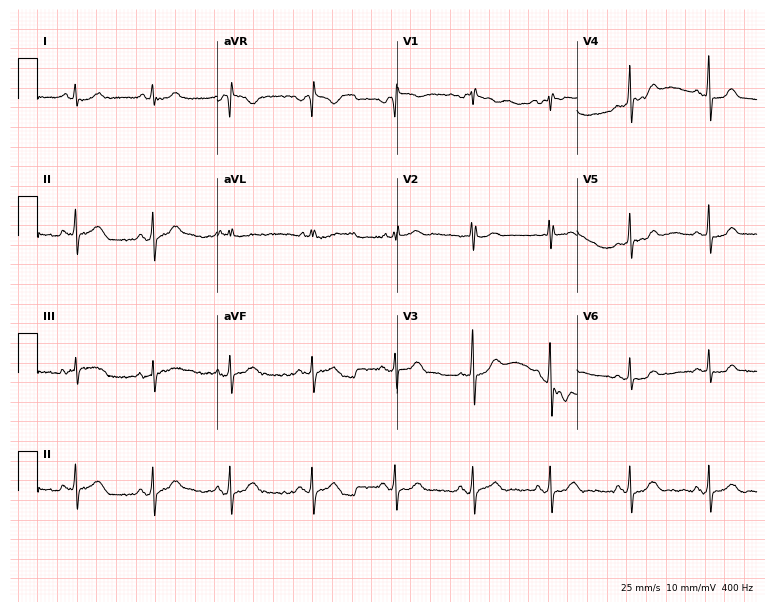
Standard 12-lead ECG recorded from a woman, 36 years old (7.3-second recording at 400 Hz). None of these six findings is recorded: first-degree AV block, right bundle branch block, left bundle branch block, sinus bradycardia, atrial fibrillation, sinus tachycardia.